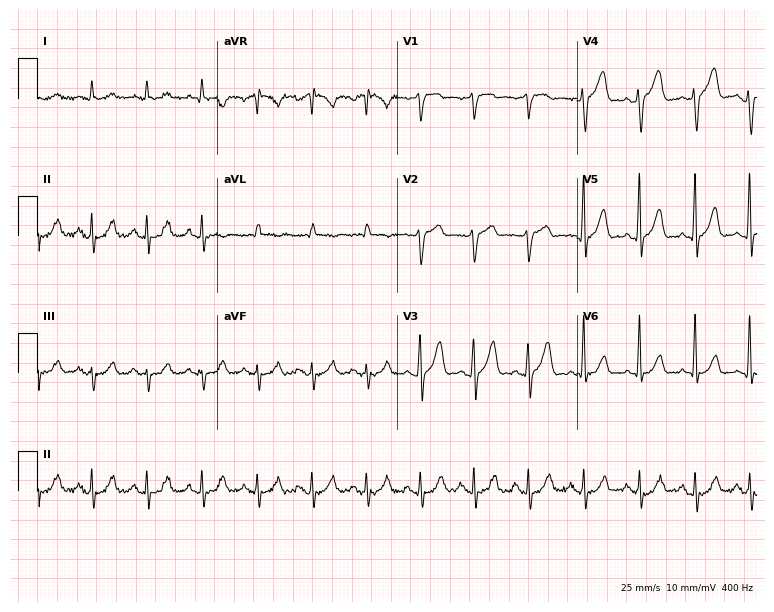
12-lead ECG (7.3-second recording at 400 Hz) from a 60-year-old male. Screened for six findings — first-degree AV block, right bundle branch block, left bundle branch block, sinus bradycardia, atrial fibrillation, sinus tachycardia — none is recorded. Only these six findings were labelled.